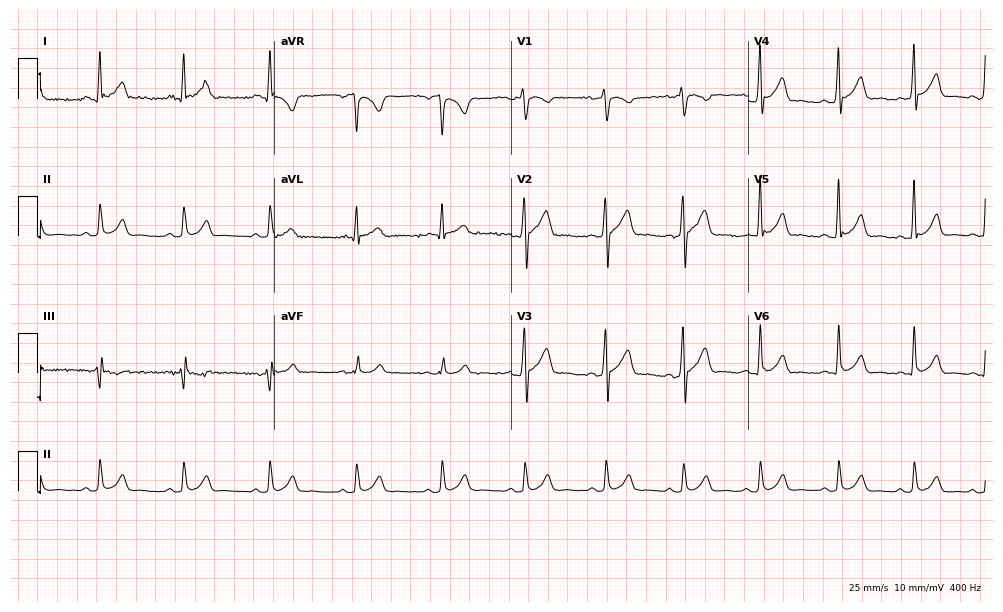
Resting 12-lead electrocardiogram. Patient: a 22-year-old male. Read as a normal ECG.